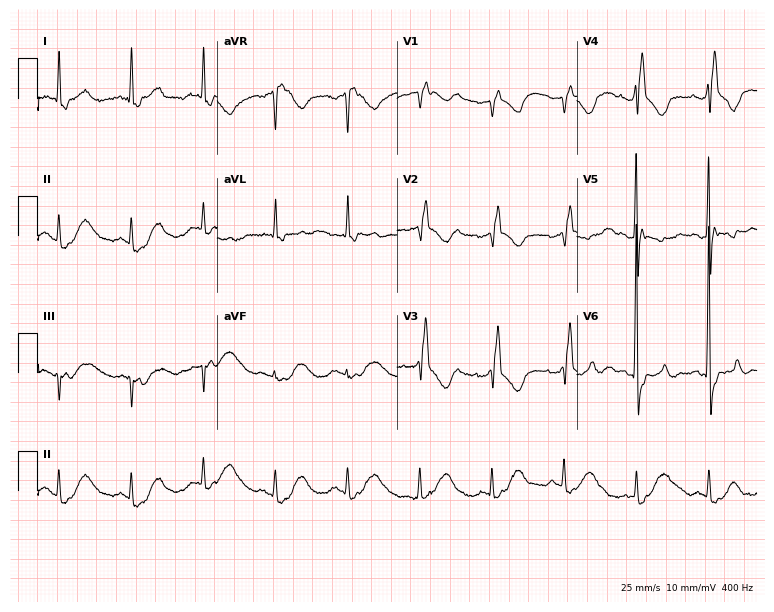
12-lead ECG (7.3-second recording at 400 Hz) from a 78-year-old woman. Findings include right bundle branch block.